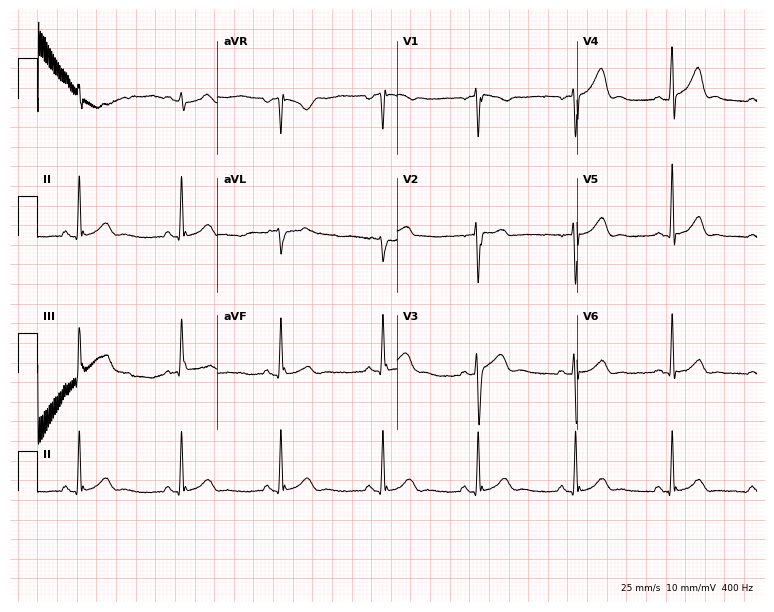
Standard 12-lead ECG recorded from a male patient, 24 years old. Read as a normal ECG.